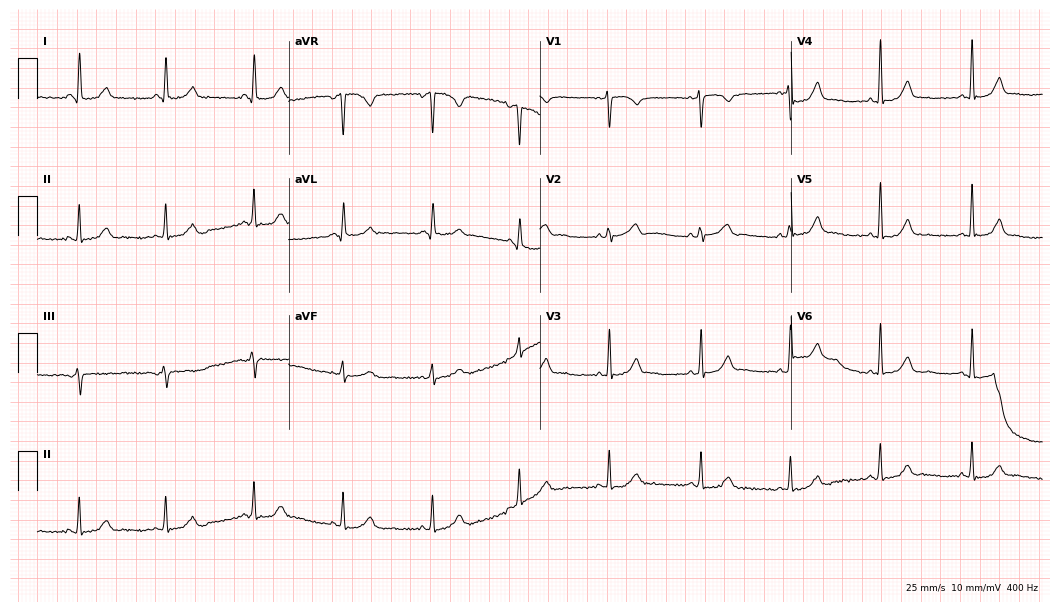
ECG (10.2-second recording at 400 Hz) — a 48-year-old female. Screened for six findings — first-degree AV block, right bundle branch block, left bundle branch block, sinus bradycardia, atrial fibrillation, sinus tachycardia — none is recorded. Only these six findings were labelled.